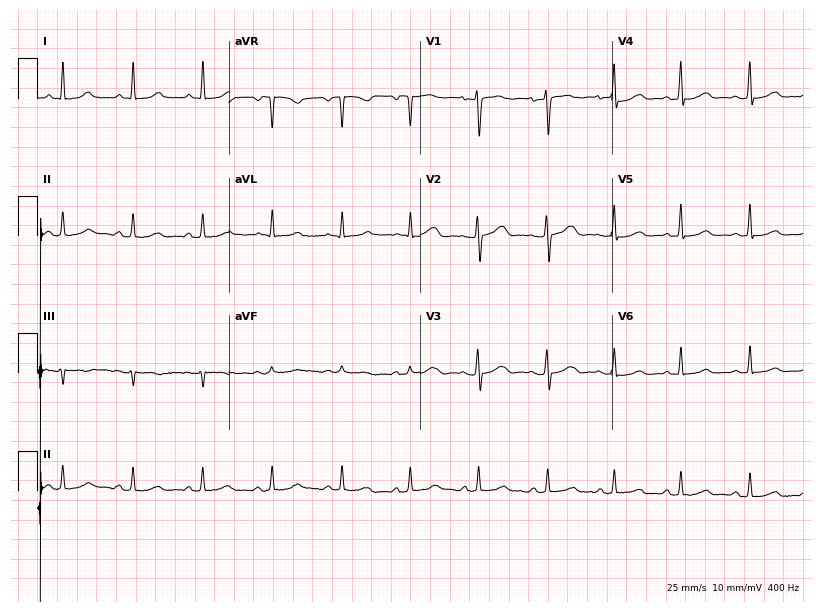
12-lead ECG from a 42-year-old woman (7.8-second recording at 400 Hz). Recorded interpretation: within normal limits.